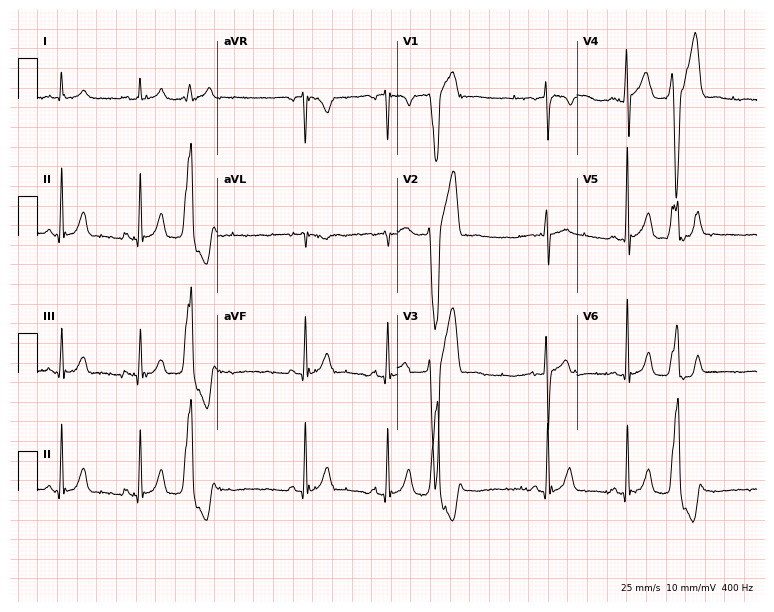
Standard 12-lead ECG recorded from a male, 30 years old. None of these six findings is recorded: first-degree AV block, right bundle branch block, left bundle branch block, sinus bradycardia, atrial fibrillation, sinus tachycardia.